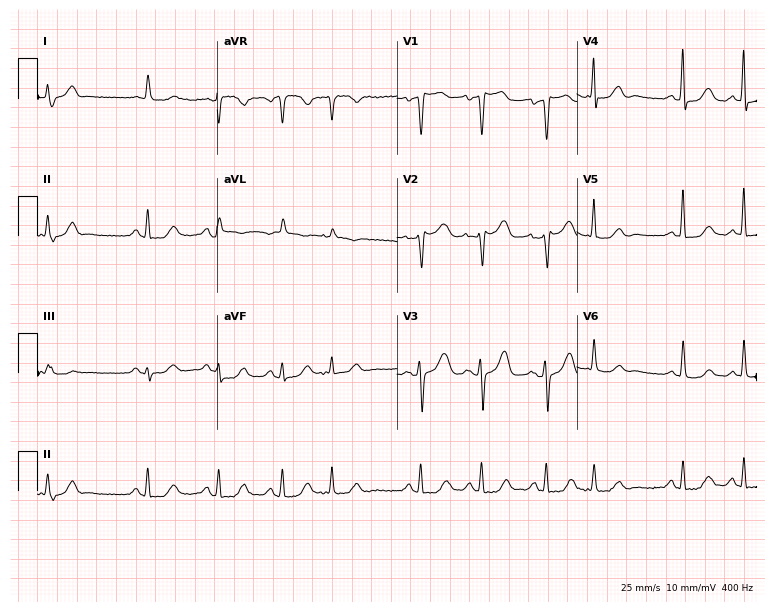
ECG (7.3-second recording at 400 Hz) — a female, 82 years old. Screened for six findings — first-degree AV block, right bundle branch block, left bundle branch block, sinus bradycardia, atrial fibrillation, sinus tachycardia — none is recorded.